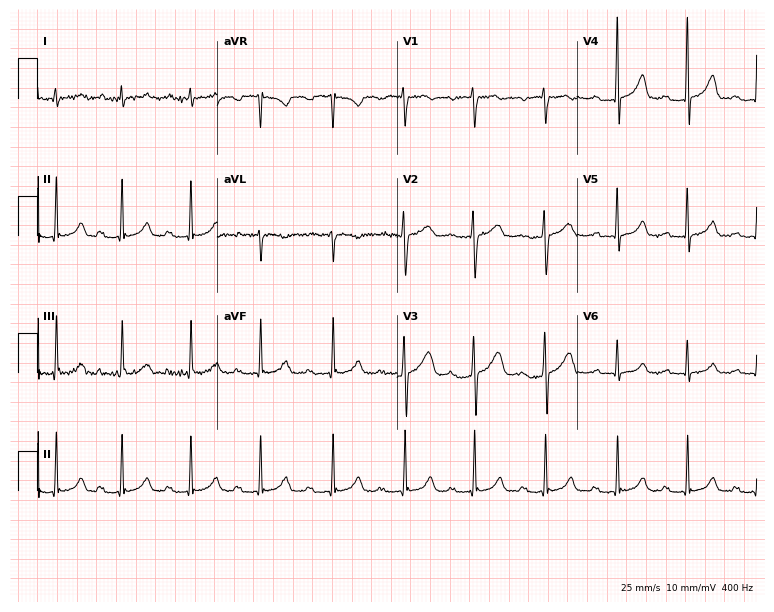
Standard 12-lead ECG recorded from a female patient, 23 years old. None of these six findings is recorded: first-degree AV block, right bundle branch block, left bundle branch block, sinus bradycardia, atrial fibrillation, sinus tachycardia. Only these six findings were labelled.